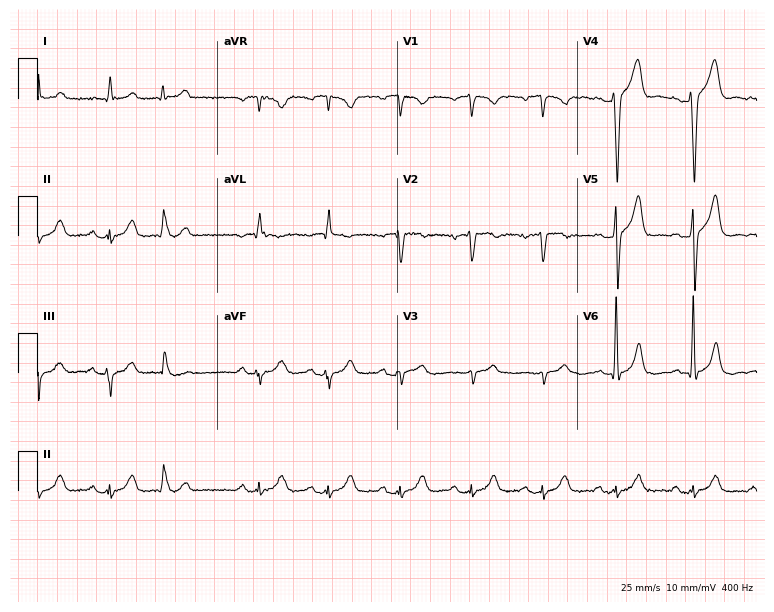
Standard 12-lead ECG recorded from a man, 77 years old (7.3-second recording at 400 Hz). None of these six findings is recorded: first-degree AV block, right bundle branch block, left bundle branch block, sinus bradycardia, atrial fibrillation, sinus tachycardia. Only these six findings were labelled.